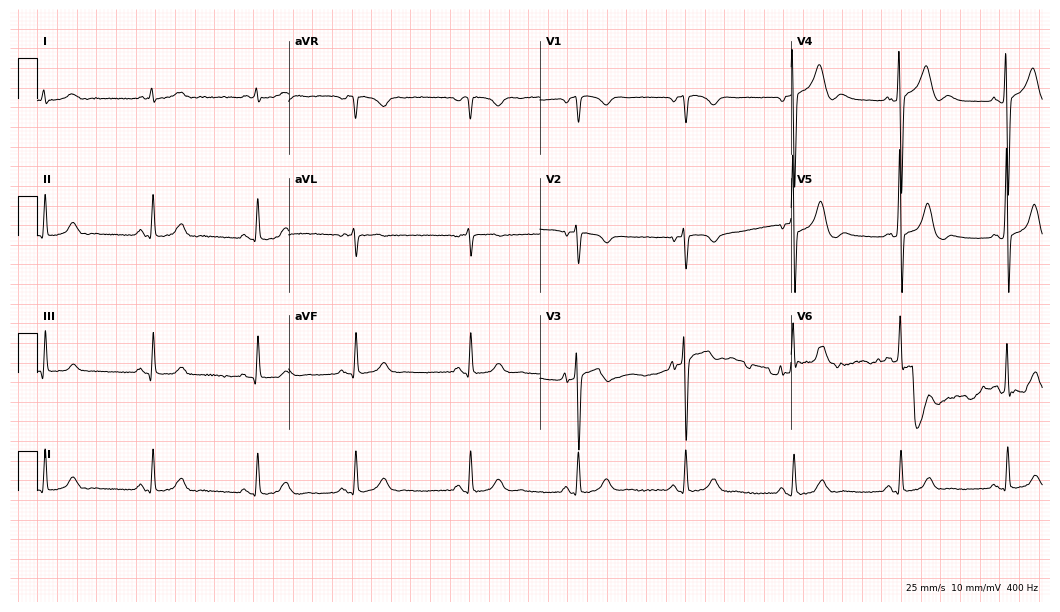
12-lead ECG from an 84-year-old male patient (10.2-second recording at 400 Hz). Recorded interpretation: within normal limits.